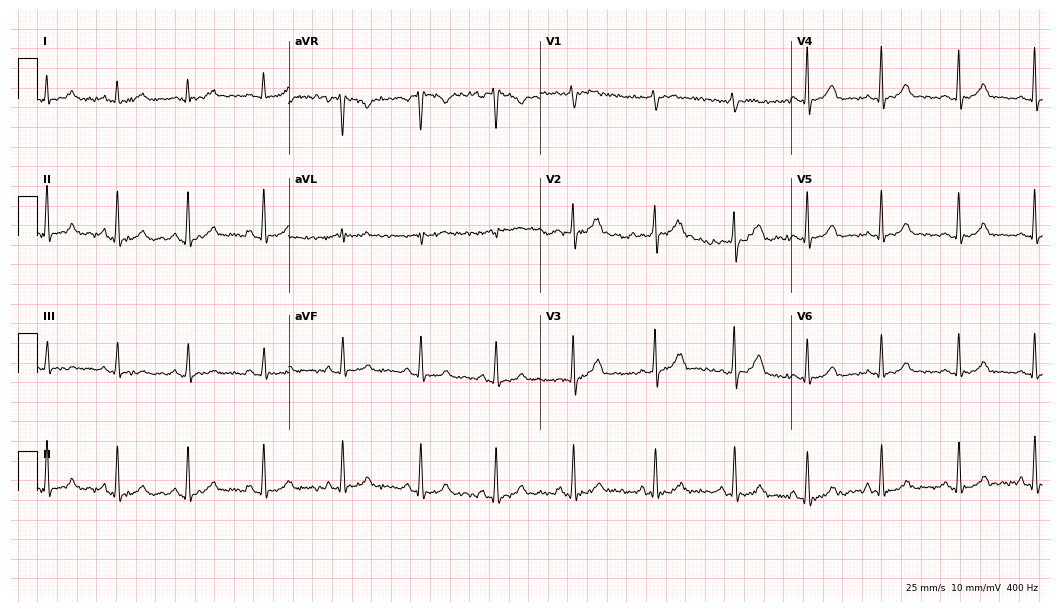
Resting 12-lead electrocardiogram. Patient: a woman, 35 years old. Read as a normal ECG.